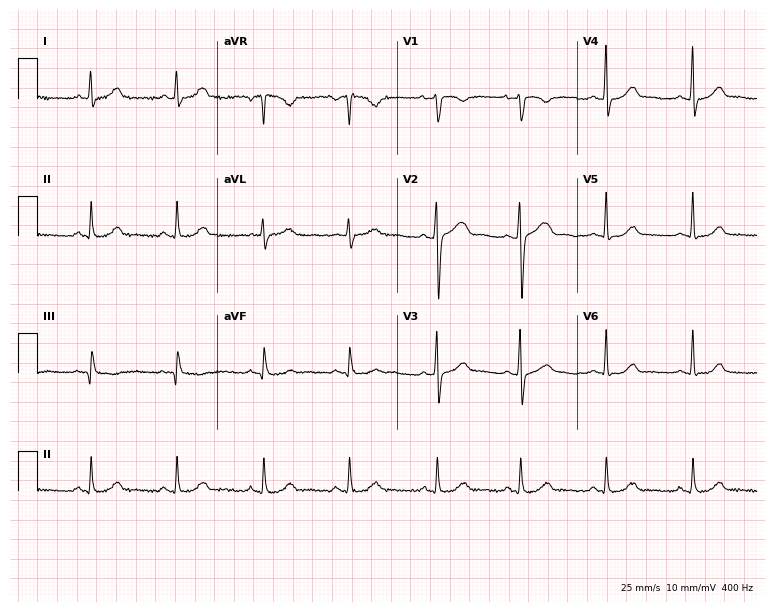
Resting 12-lead electrocardiogram (7.3-second recording at 400 Hz). Patient: a 38-year-old woman. Read as a normal ECG.